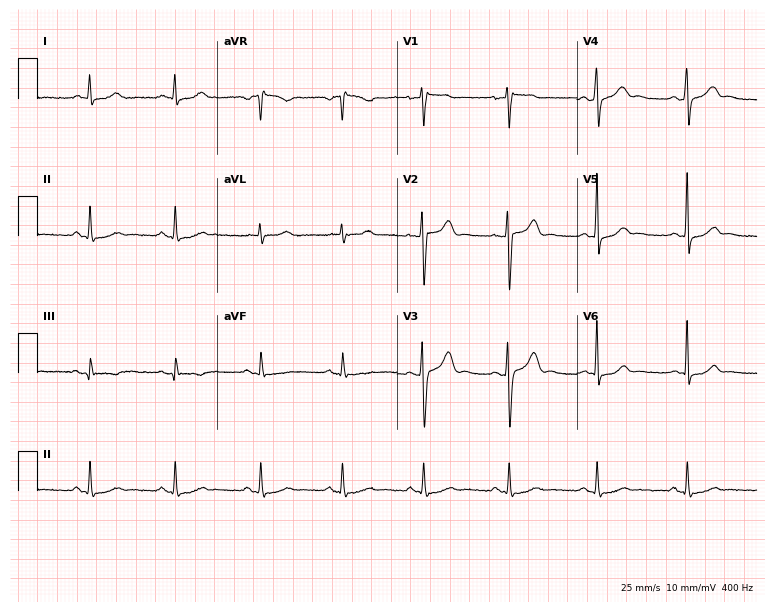
12-lead ECG (7.3-second recording at 400 Hz) from a male, 38 years old. Labelled as a normal ECG.